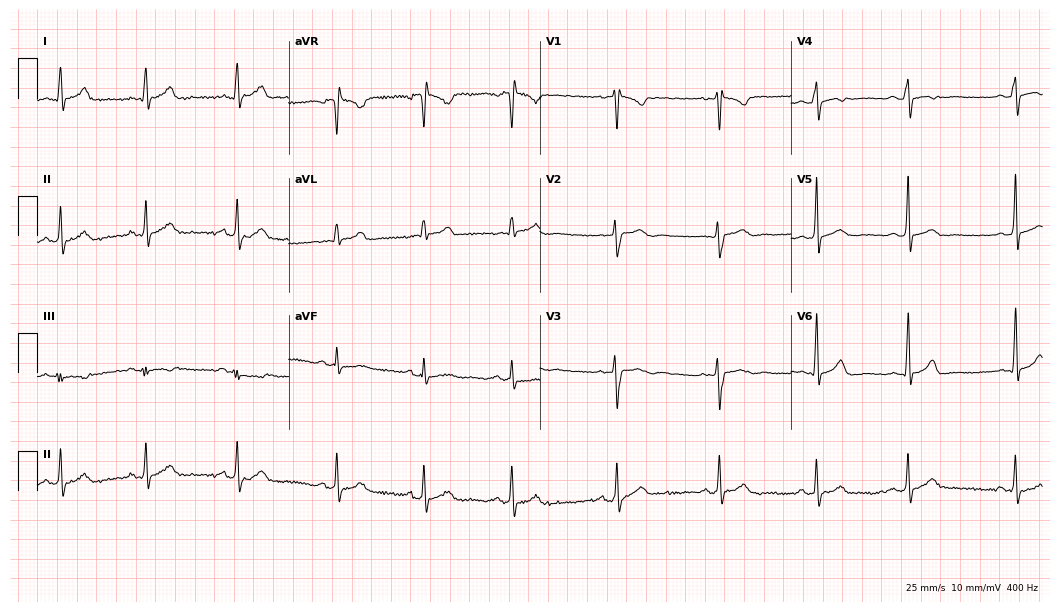
12-lead ECG from a female, 25 years old. Recorded interpretation: within normal limits.